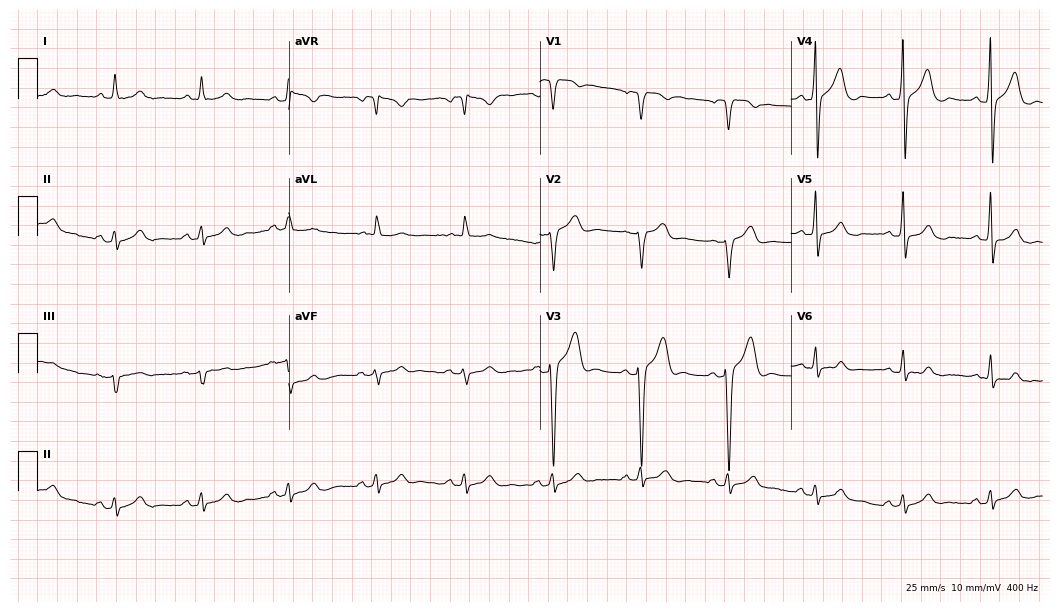
Standard 12-lead ECG recorded from a 69-year-old male patient. Read as a normal ECG.